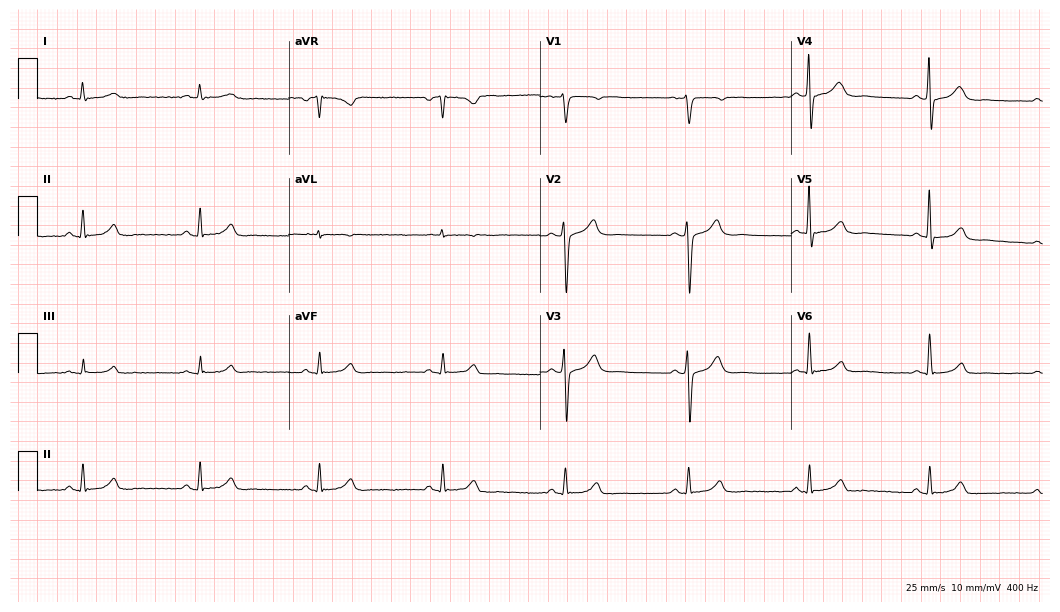
Resting 12-lead electrocardiogram. Patient: a male, 53 years old. None of these six findings is recorded: first-degree AV block, right bundle branch block (RBBB), left bundle branch block (LBBB), sinus bradycardia, atrial fibrillation (AF), sinus tachycardia.